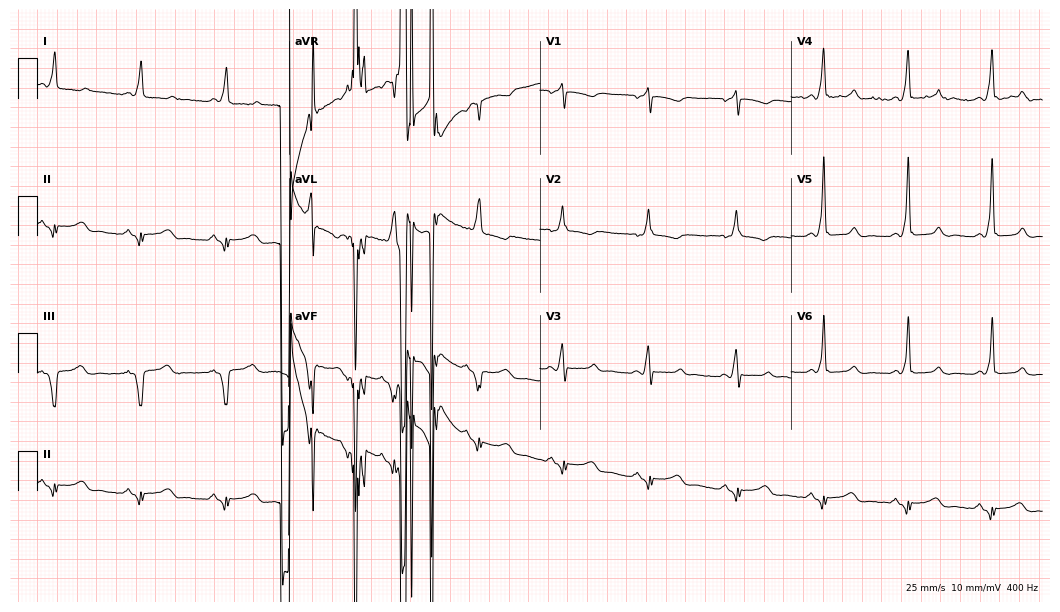
Resting 12-lead electrocardiogram (10.2-second recording at 400 Hz). Patient: a female, 44 years old. None of these six findings is recorded: first-degree AV block, right bundle branch block, left bundle branch block, sinus bradycardia, atrial fibrillation, sinus tachycardia.